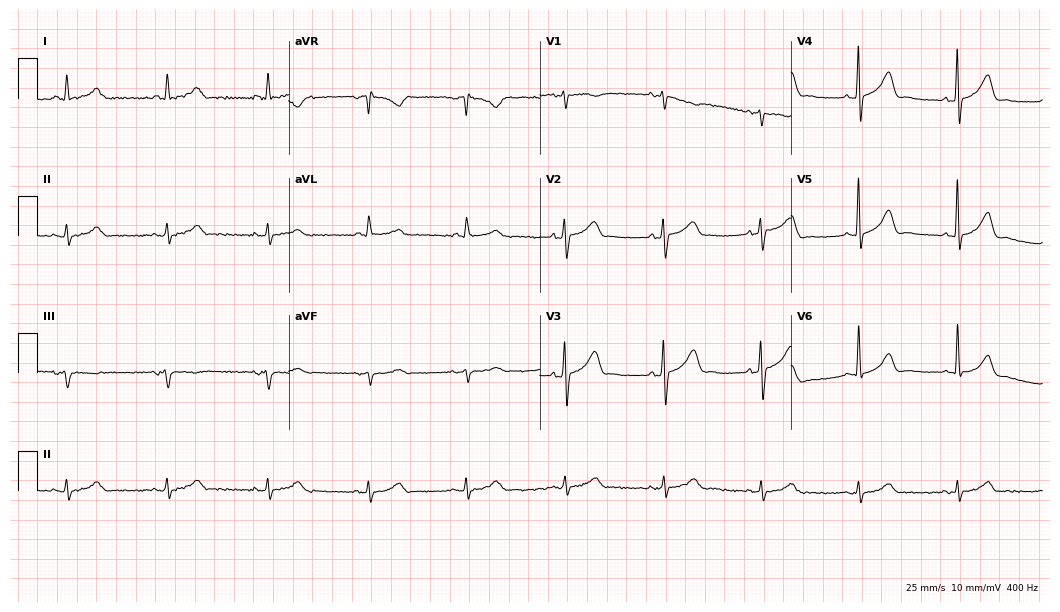
Standard 12-lead ECG recorded from a male, 74 years old (10.2-second recording at 400 Hz). Read as a normal ECG.